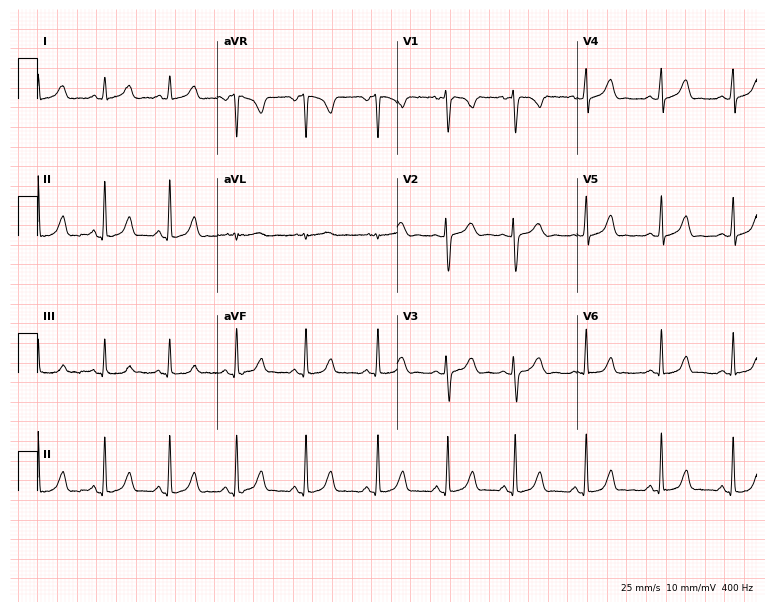
ECG (7.3-second recording at 400 Hz) — a 20-year-old woman. Labelled as a normal ECG.